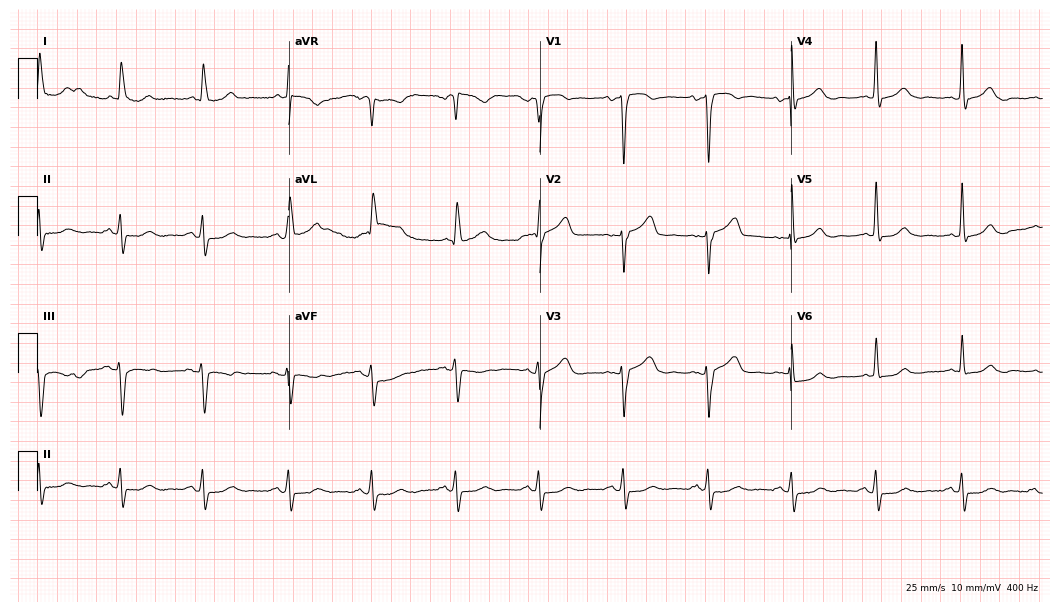
Standard 12-lead ECG recorded from an 82-year-old female patient. Read as a normal ECG.